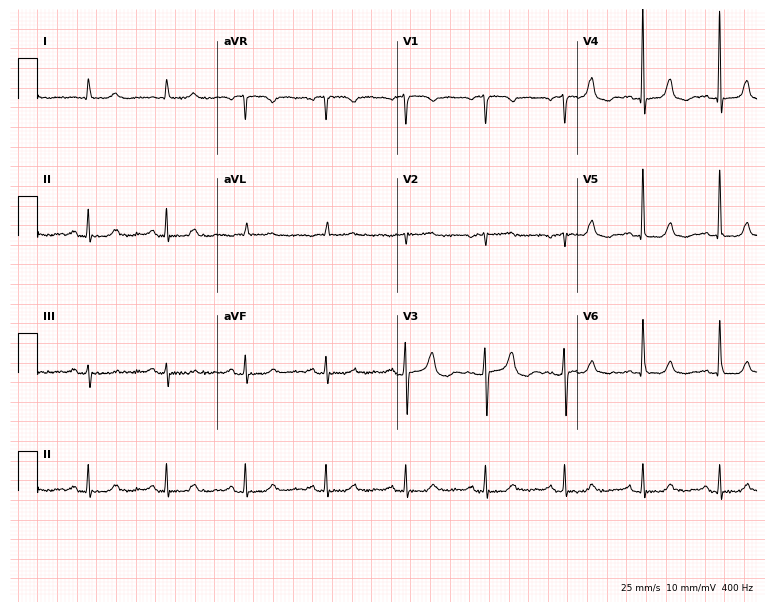
Resting 12-lead electrocardiogram. Patient: a 79-year-old female. Read as a normal ECG.